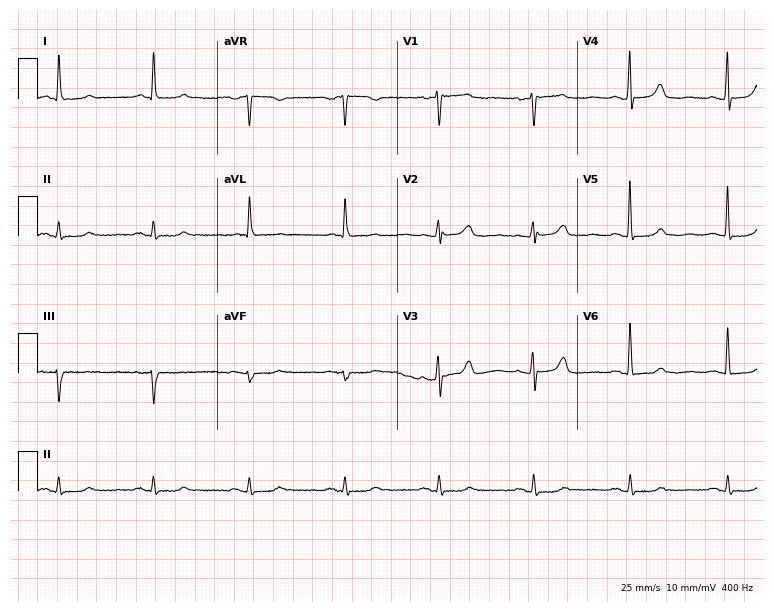
12-lead ECG (7.3-second recording at 400 Hz) from a female, 59 years old. Screened for six findings — first-degree AV block, right bundle branch block, left bundle branch block, sinus bradycardia, atrial fibrillation, sinus tachycardia — none is recorded. Only these six findings were labelled.